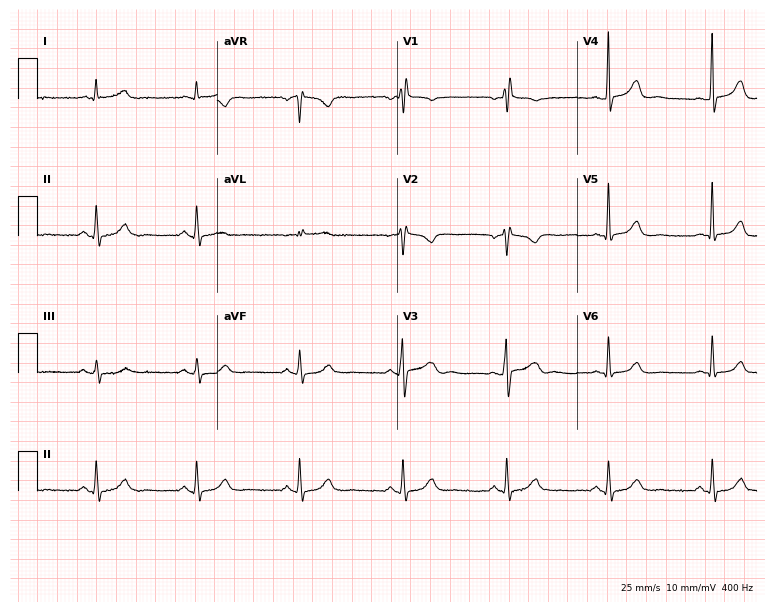
12-lead ECG from a male patient, 52 years old (7.3-second recording at 400 Hz). No first-degree AV block, right bundle branch block, left bundle branch block, sinus bradycardia, atrial fibrillation or sinus tachycardia recorded for this tracing.